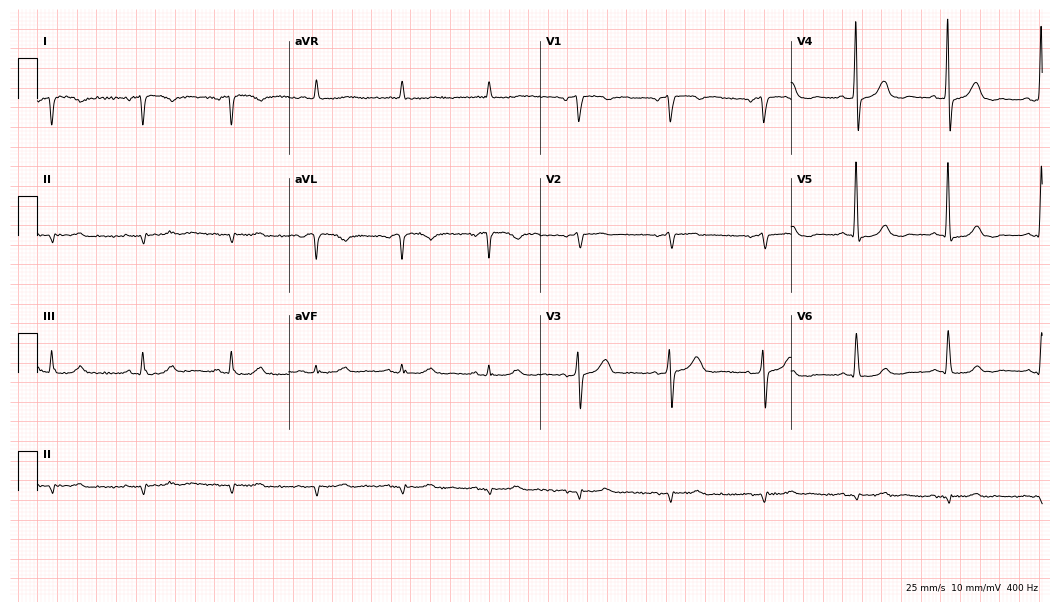
Resting 12-lead electrocardiogram (10.2-second recording at 400 Hz). Patient: a man, 85 years old. None of these six findings is recorded: first-degree AV block, right bundle branch block, left bundle branch block, sinus bradycardia, atrial fibrillation, sinus tachycardia. Other findings, if any, are not listed.